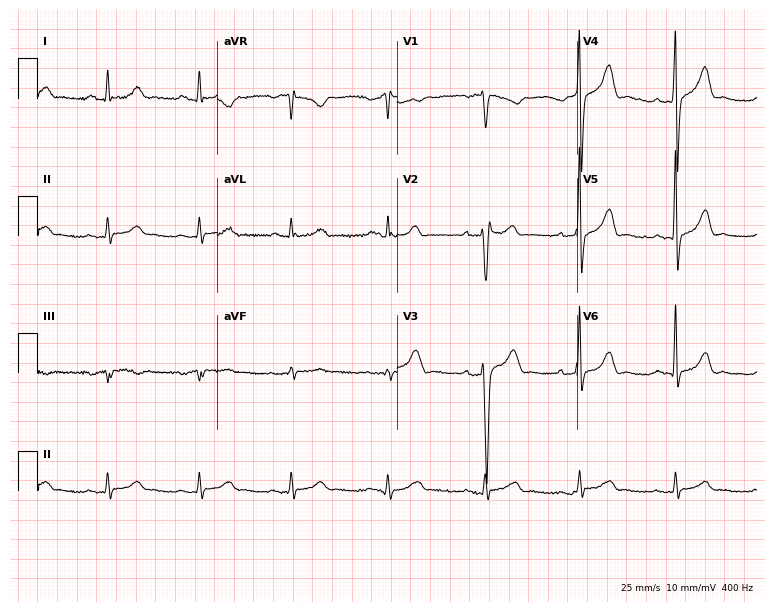
Standard 12-lead ECG recorded from a 41-year-old man (7.3-second recording at 400 Hz). None of these six findings is recorded: first-degree AV block, right bundle branch block (RBBB), left bundle branch block (LBBB), sinus bradycardia, atrial fibrillation (AF), sinus tachycardia. Other findings, if any, are not listed.